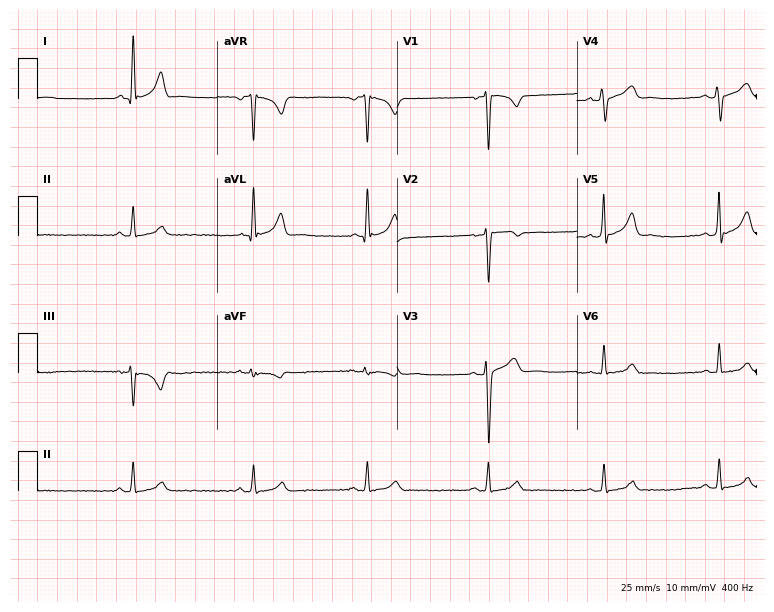
12-lead ECG (7.3-second recording at 400 Hz) from a male, 27 years old. Screened for six findings — first-degree AV block, right bundle branch block, left bundle branch block, sinus bradycardia, atrial fibrillation, sinus tachycardia — none is recorded. Findings outside these six are not listed.